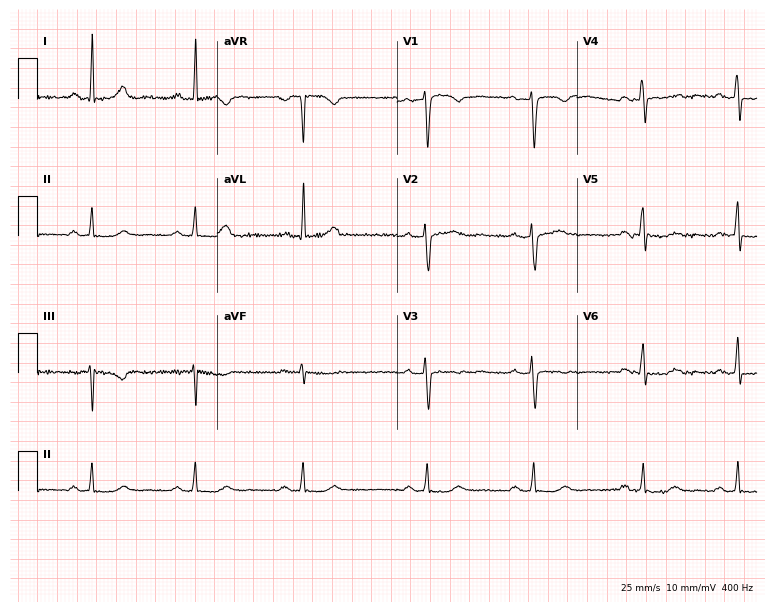
ECG — a female, 42 years old. Labelled as a normal ECG.